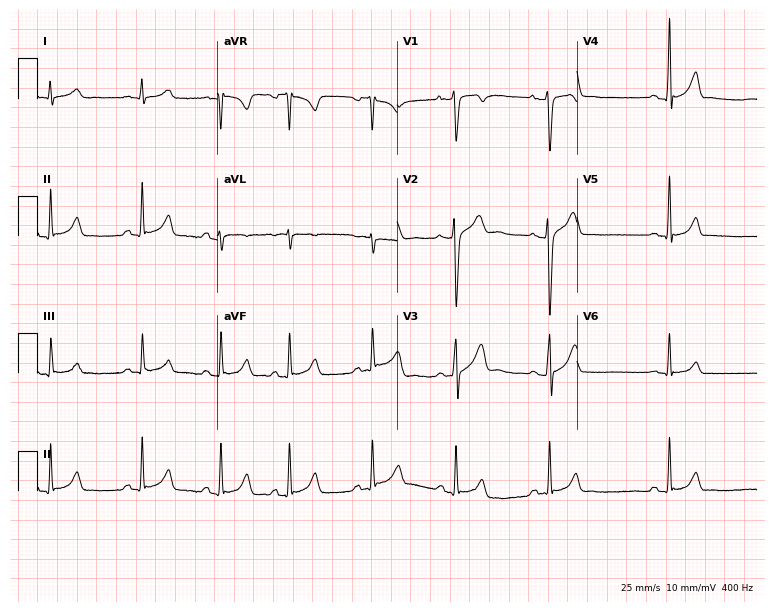
ECG — a 23-year-old male patient. Labelled as a normal ECG.